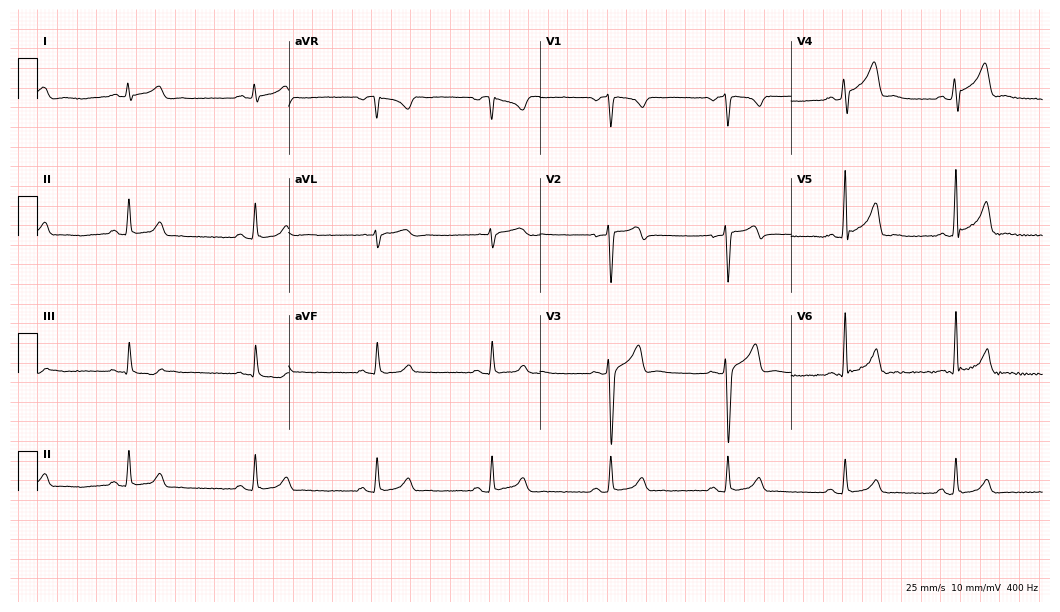
ECG (10.2-second recording at 400 Hz) — a male, 32 years old. Findings include sinus bradycardia (a sinus rate of 50 beats per minute or less).